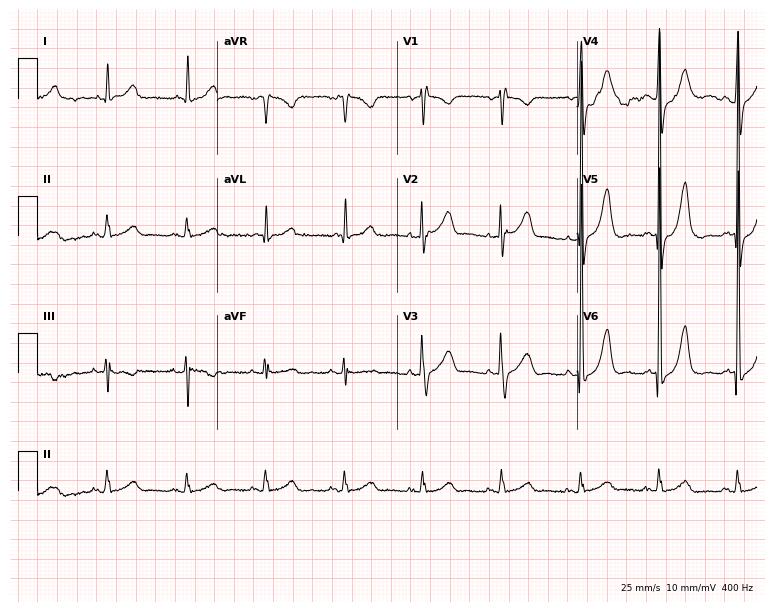
Standard 12-lead ECG recorded from a male, 83 years old. None of these six findings is recorded: first-degree AV block, right bundle branch block (RBBB), left bundle branch block (LBBB), sinus bradycardia, atrial fibrillation (AF), sinus tachycardia. Other findings, if any, are not listed.